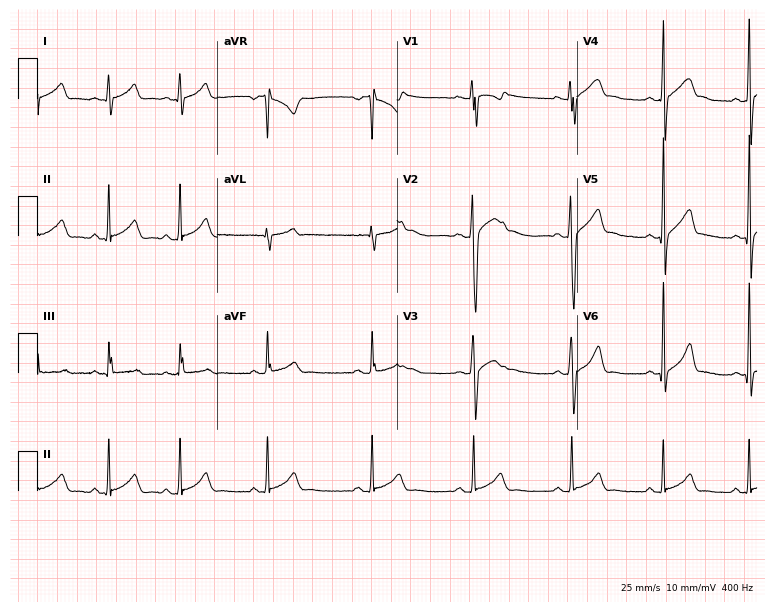
12-lead ECG from a 21-year-old man (7.3-second recording at 400 Hz). Recorded interpretation: within normal limits.